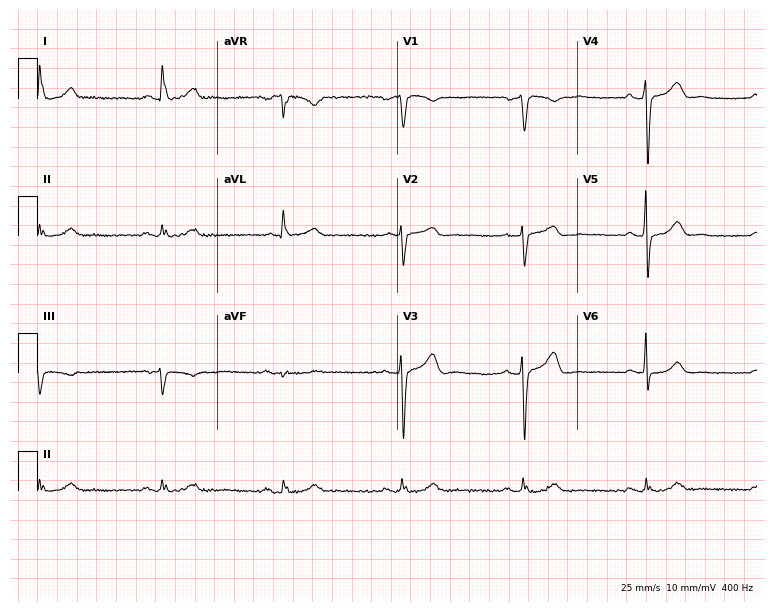
Resting 12-lead electrocardiogram (7.3-second recording at 400 Hz). Patient: a male, 63 years old. None of these six findings is recorded: first-degree AV block, right bundle branch block, left bundle branch block, sinus bradycardia, atrial fibrillation, sinus tachycardia. Only these six findings were labelled.